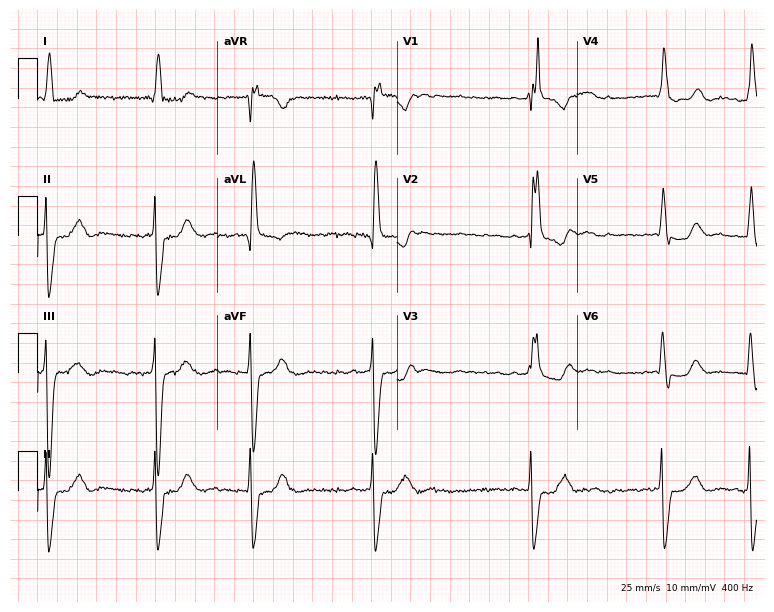
12-lead ECG from a male patient, 69 years old (7.3-second recording at 400 Hz). Shows right bundle branch block, atrial fibrillation.